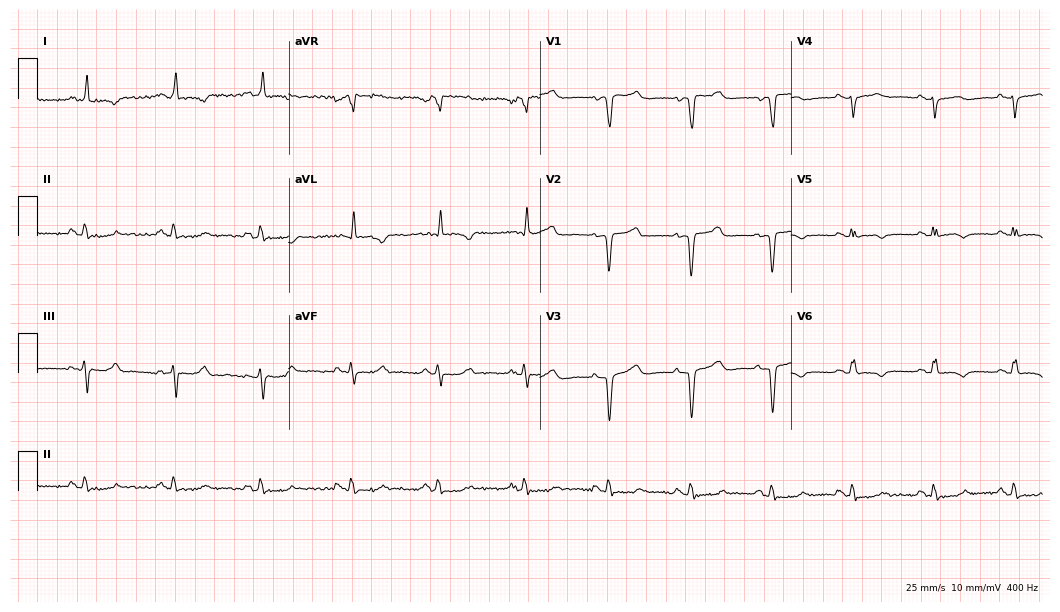
Standard 12-lead ECG recorded from a 49-year-old female (10.2-second recording at 400 Hz). None of these six findings is recorded: first-degree AV block, right bundle branch block, left bundle branch block, sinus bradycardia, atrial fibrillation, sinus tachycardia.